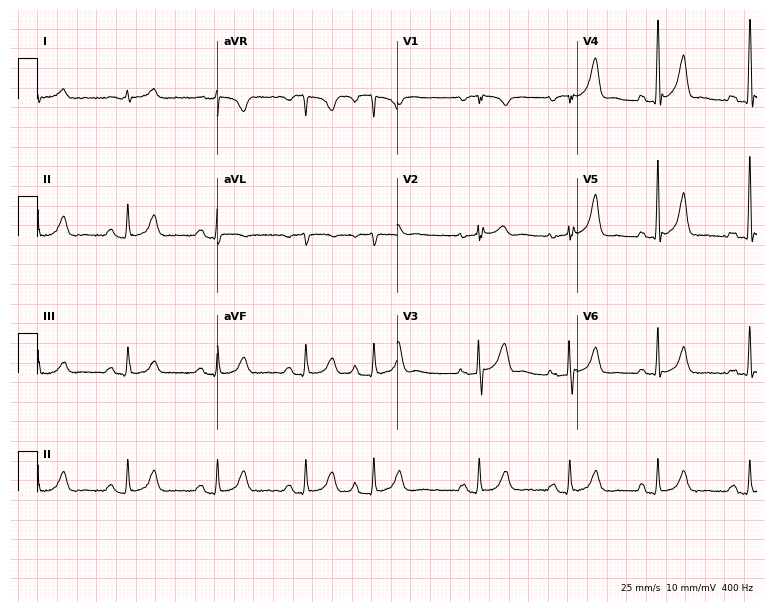
12-lead ECG from a 71-year-old male patient. Screened for six findings — first-degree AV block, right bundle branch block, left bundle branch block, sinus bradycardia, atrial fibrillation, sinus tachycardia — none is recorded.